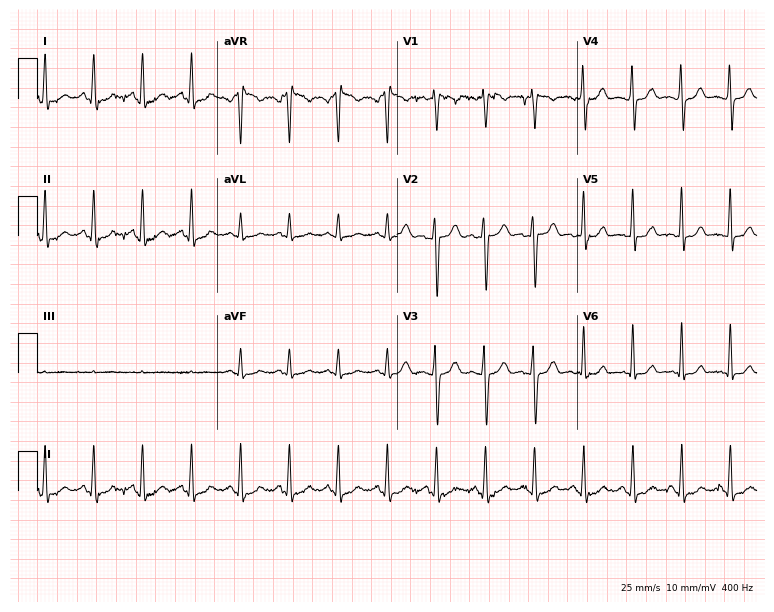
Electrocardiogram, a female, 37 years old. Of the six screened findings (first-degree AV block, right bundle branch block (RBBB), left bundle branch block (LBBB), sinus bradycardia, atrial fibrillation (AF), sinus tachycardia), none is recorded. Other findings, if any, are not listed.